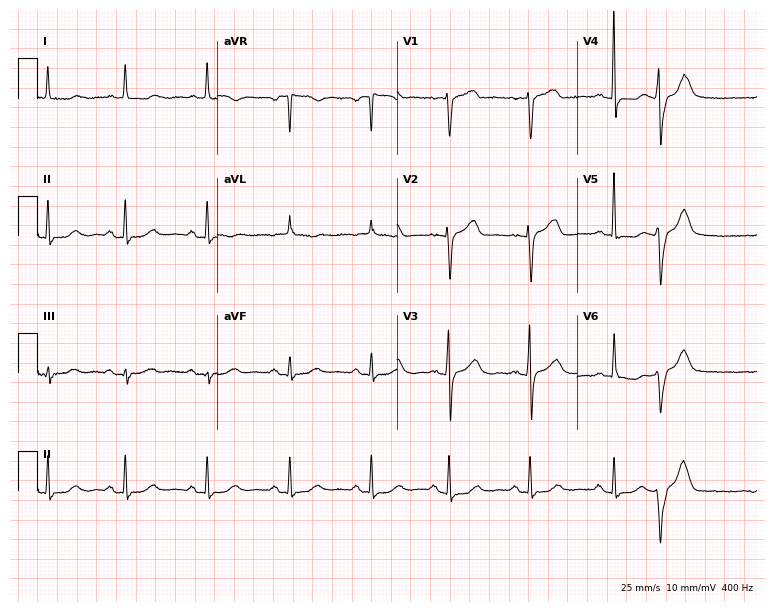
12-lead ECG from a female patient, 74 years old. No first-degree AV block, right bundle branch block, left bundle branch block, sinus bradycardia, atrial fibrillation or sinus tachycardia recorded for this tracing. Other findings, if any, are not listed.